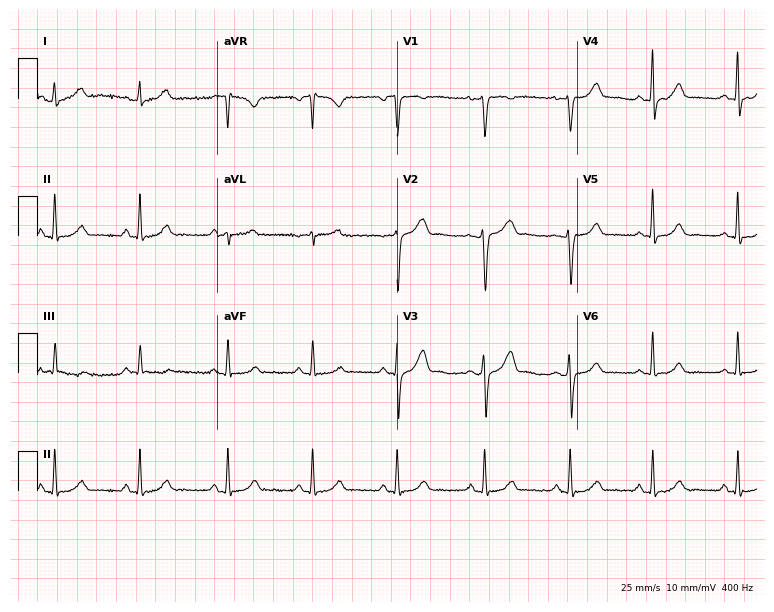
12-lead ECG from a 42-year-old female patient. Labelled as a normal ECG.